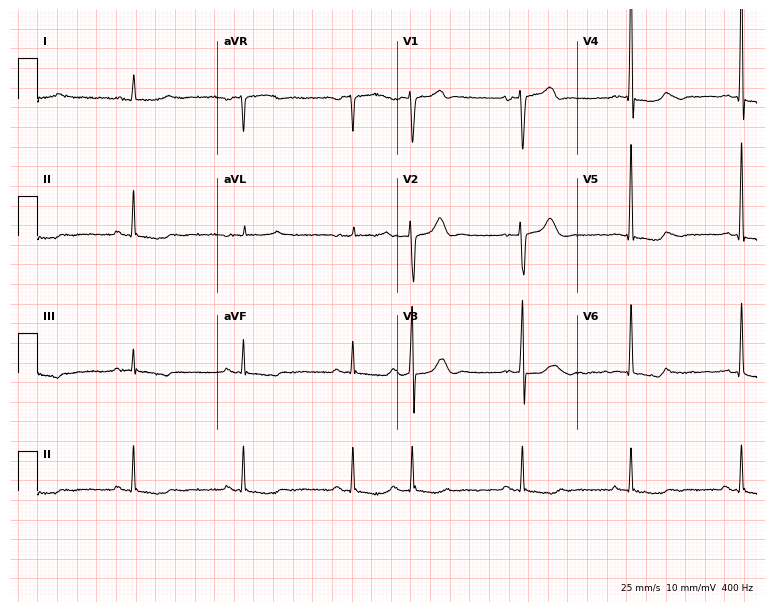
Electrocardiogram, a 73-year-old male patient. Overall reading on record: normal ECG.